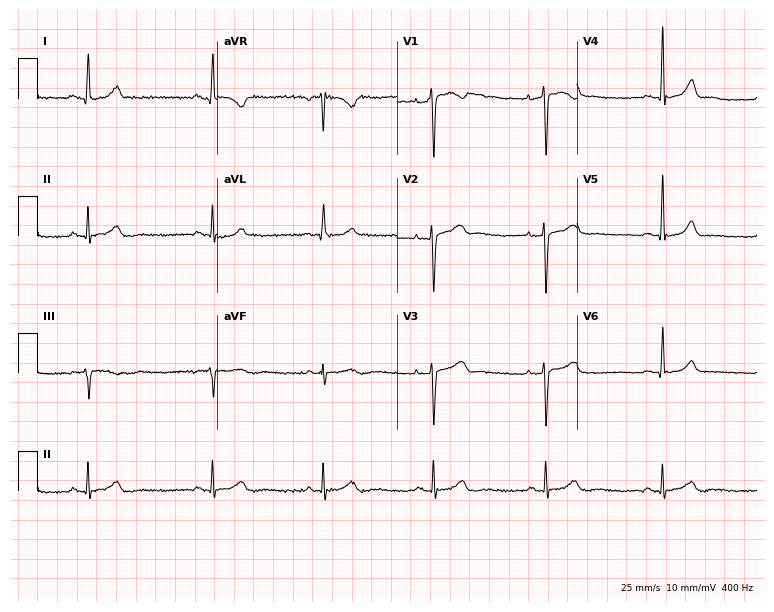
Electrocardiogram, a woman, 42 years old. Of the six screened findings (first-degree AV block, right bundle branch block (RBBB), left bundle branch block (LBBB), sinus bradycardia, atrial fibrillation (AF), sinus tachycardia), none is recorded.